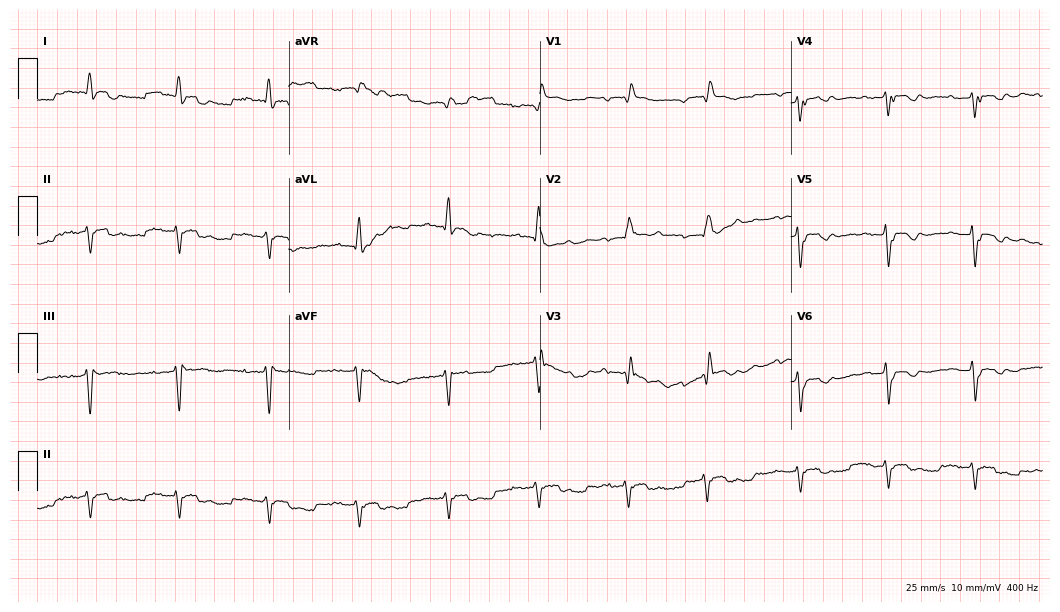
12-lead ECG (10.2-second recording at 400 Hz) from a male patient, 81 years old. Screened for six findings — first-degree AV block, right bundle branch block, left bundle branch block, sinus bradycardia, atrial fibrillation, sinus tachycardia — none is recorded. Only these six findings were labelled.